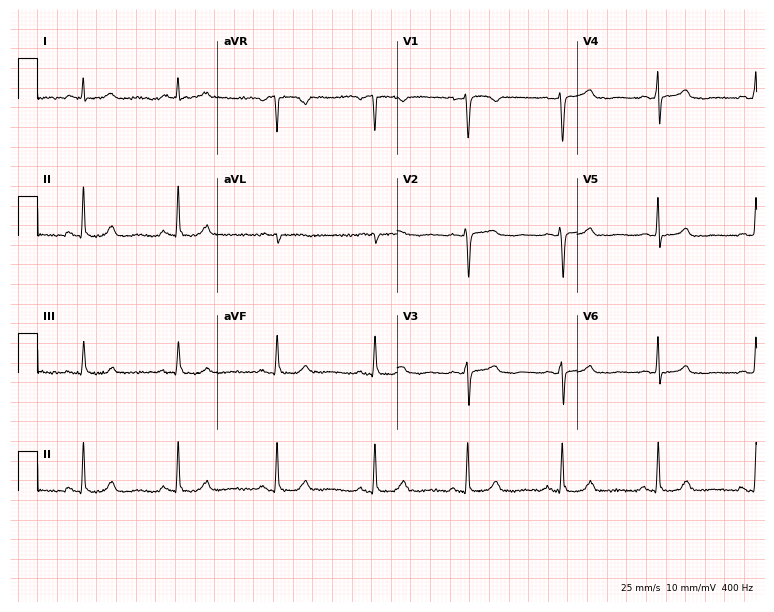
12-lead ECG (7.3-second recording at 400 Hz) from a female, 56 years old. Screened for six findings — first-degree AV block, right bundle branch block, left bundle branch block, sinus bradycardia, atrial fibrillation, sinus tachycardia — none is recorded. Other findings, if any, are not listed.